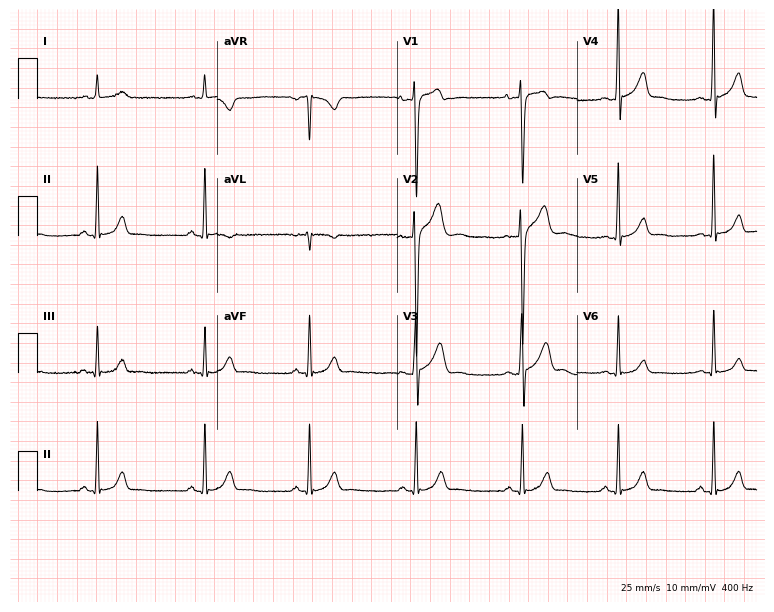
12-lead ECG from a man, 26 years old. Labelled as a normal ECG.